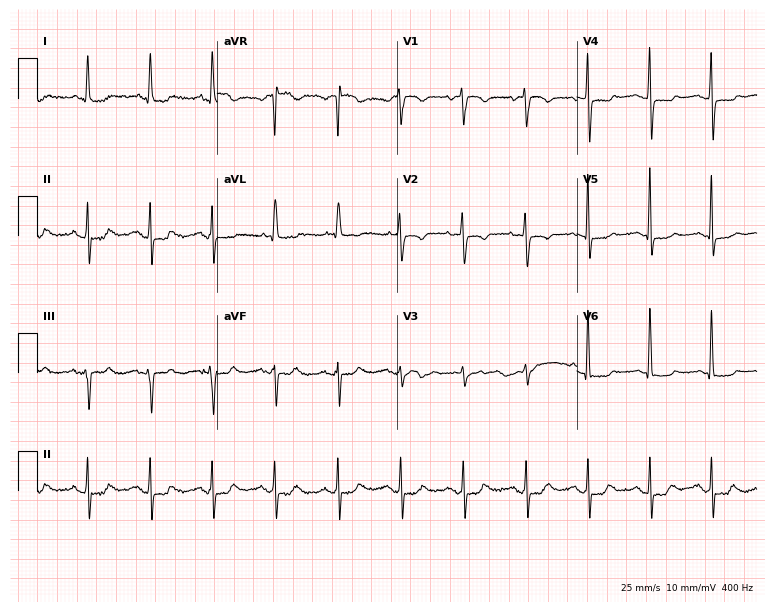
Electrocardiogram, a 73-year-old female. Overall reading on record: normal ECG.